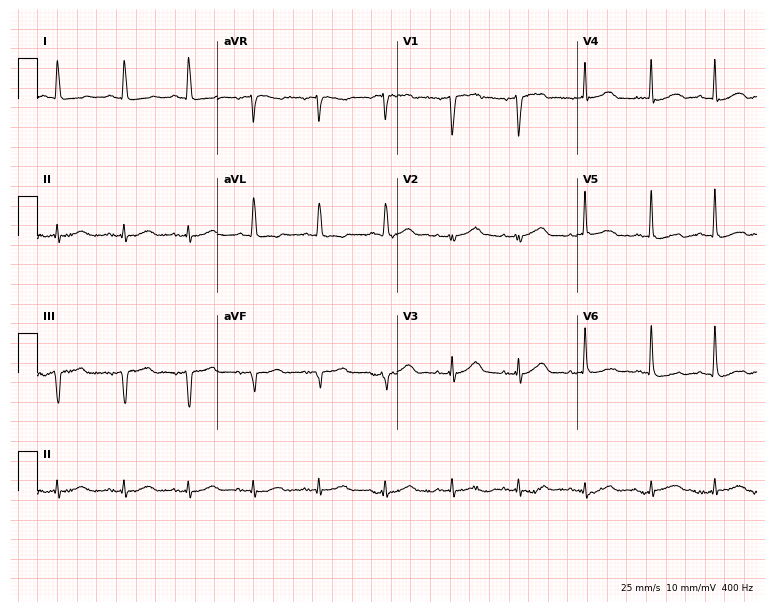
12-lead ECG (7.3-second recording at 400 Hz) from a female, 80 years old. Screened for six findings — first-degree AV block, right bundle branch block, left bundle branch block, sinus bradycardia, atrial fibrillation, sinus tachycardia — none is recorded.